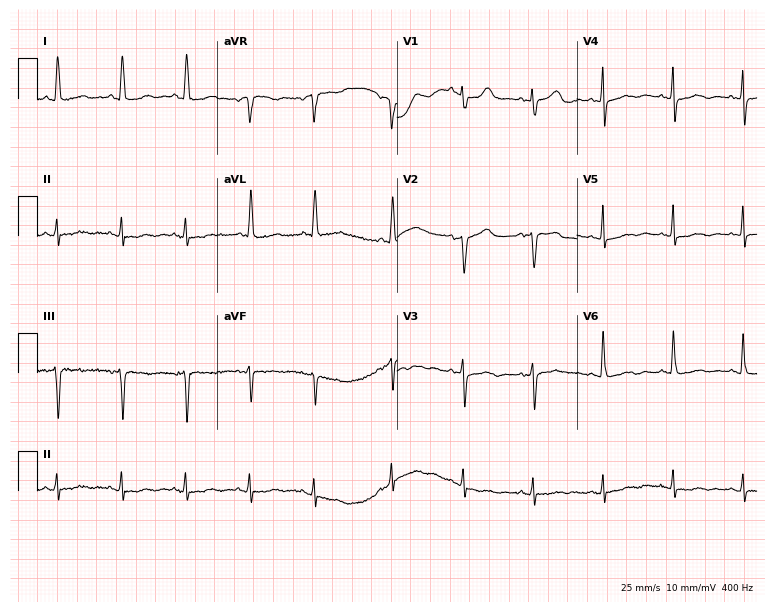
Electrocardiogram (7.3-second recording at 400 Hz), a female, 73 years old. Of the six screened findings (first-degree AV block, right bundle branch block, left bundle branch block, sinus bradycardia, atrial fibrillation, sinus tachycardia), none is recorded.